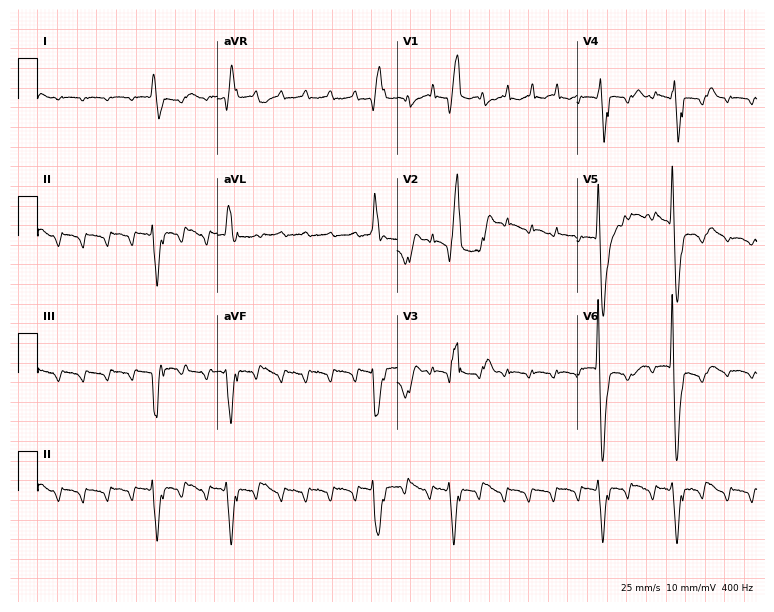
12-lead ECG (7.3-second recording at 400 Hz) from a 68-year-old male patient. Findings include right bundle branch block.